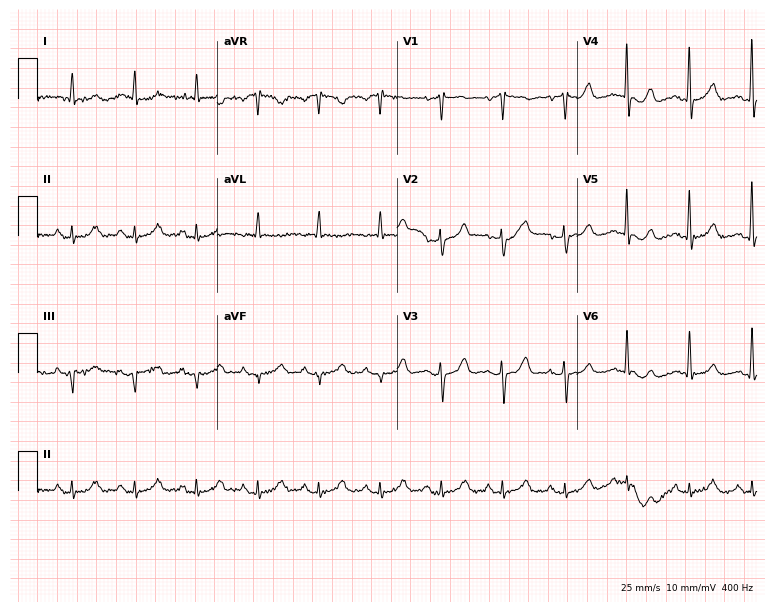
Standard 12-lead ECG recorded from an 82-year-old male patient. None of these six findings is recorded: first-degree AV block, right bundle branch block, left bundle branch block, sinus bradycardia, atrial fibrillation, sinus tachycardia.